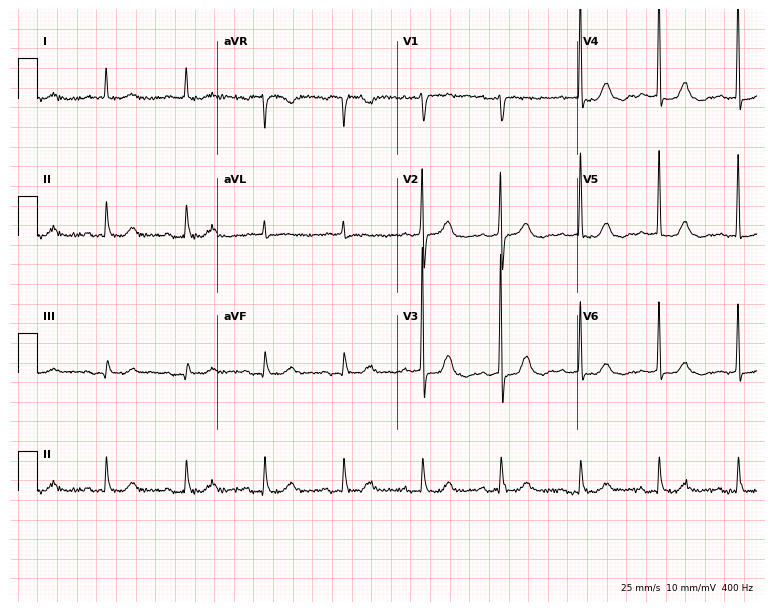
12-lead ECG from a male patient, 79 years old. Shows first-degree AV block.